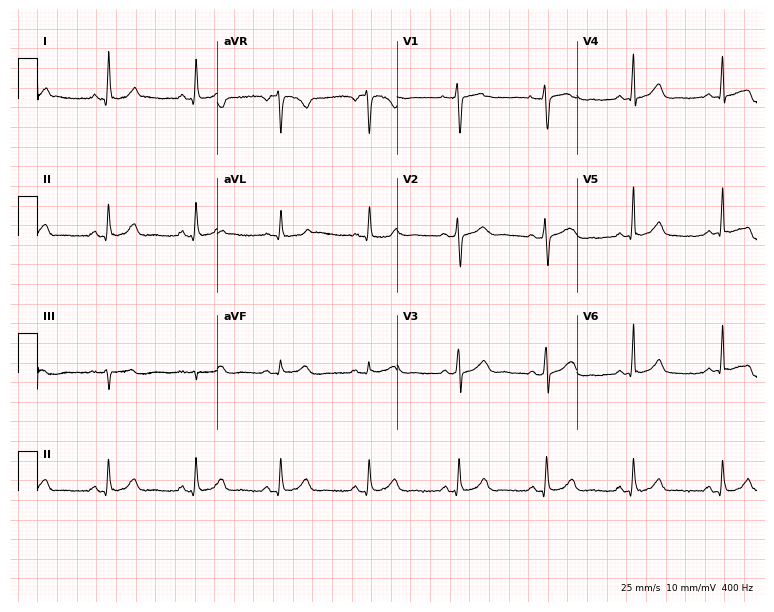
ECG (7.3-second recording at 400 Hz) — a 44-year-old female patient. Labelled as a normal ECG.